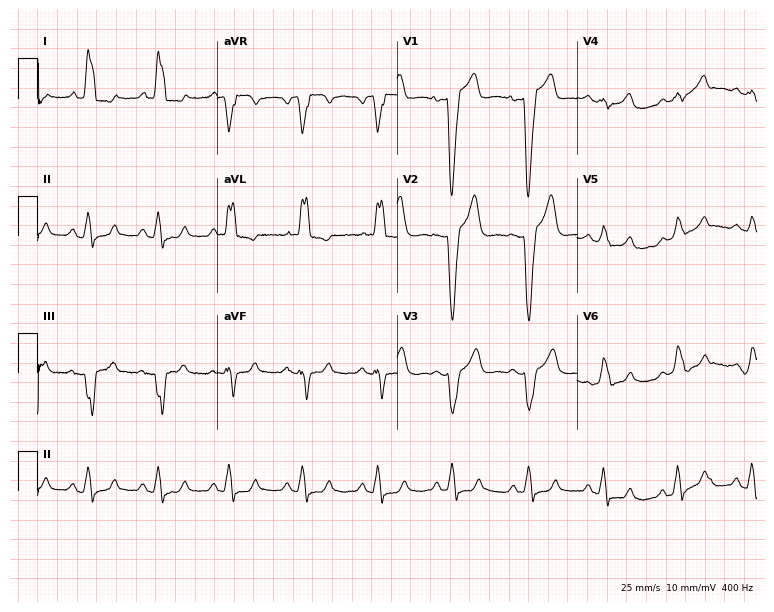
Standard 12-lead ECG recorded from a 35-year-old male. The tracing shows left bundle branch block (LBBB).